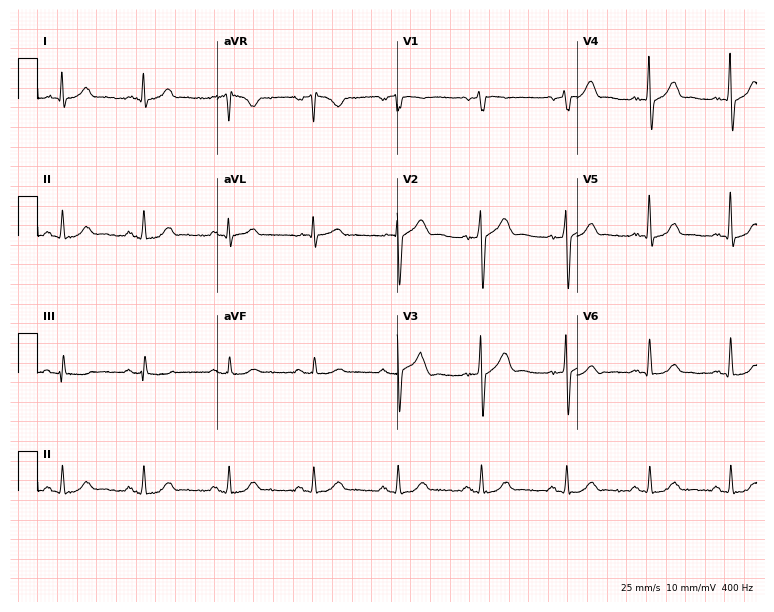
Standard 12-lead ECG recorded from a 68-year-old male. None of these six findings is recorded: first-degree AV block, right bundle branch block (RBBB), left bundle branch block (LBBB), sinus bradycardia, atrial fibrillation (AF), sinus tachycardia.